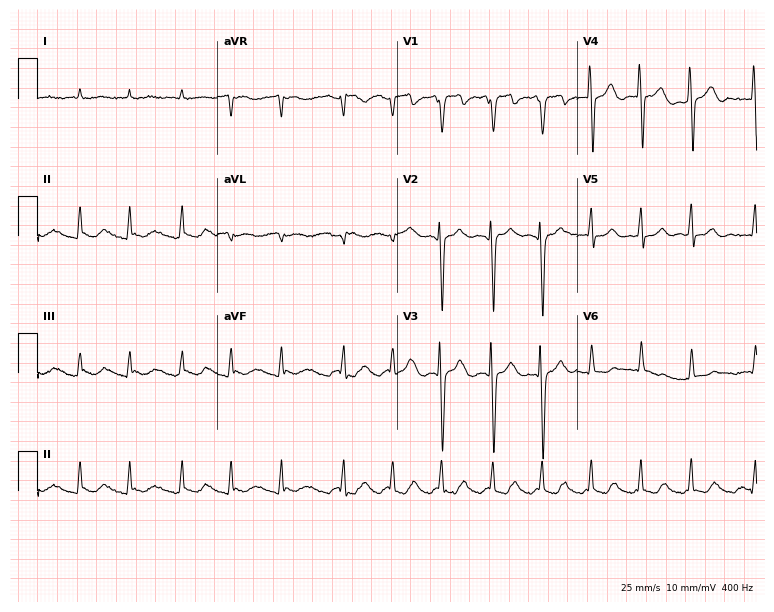
Electrocardiogram, a 72-year-old male. Interpretation includes atrial fibrillation.